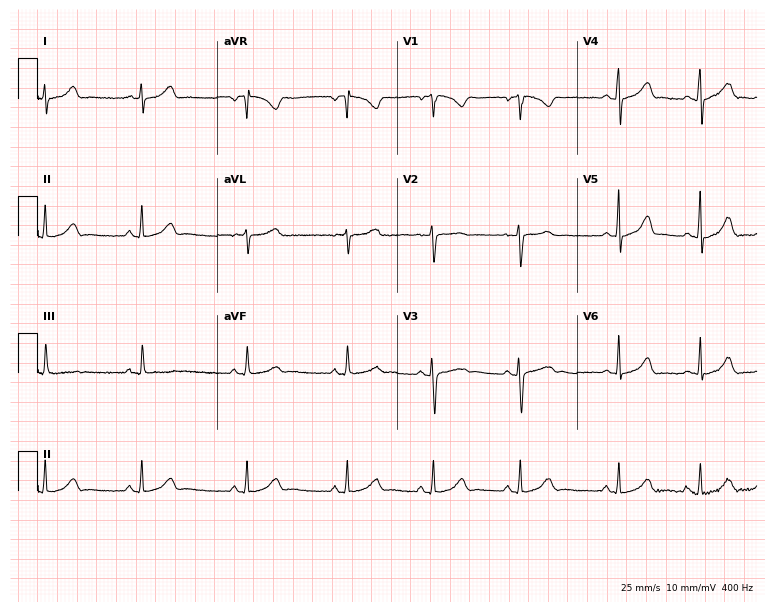
Resting 12-lead electrocardiogram (7.3-second recording at 400 Hz). Patient: a 25-year-old female. None of these six findings is recorded: first-degree AV block, right bundle branch block (RBBB), left bundle branch block (LBBB), sinus bradycardia, atrial fibrillation (AF), sinus tachycardia.